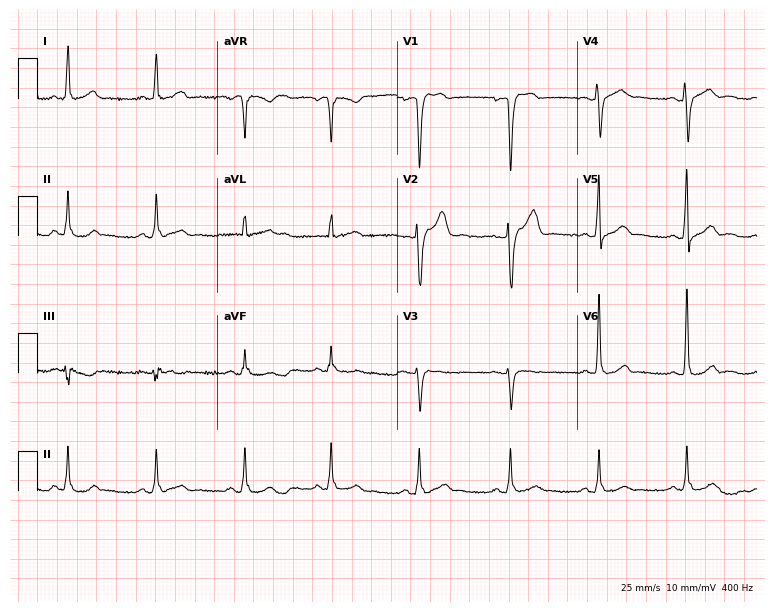
Electrocardiogram (7.3-second recording at 400 Hz), a male, 30 years old. Of the six screened findings (first-degree AV block, right bundle branch block (RBBB), left bundle branch block (LBBB), sinus bradycardia, atrial fibrillation (AF), sinus tachycardia), none is recorded.